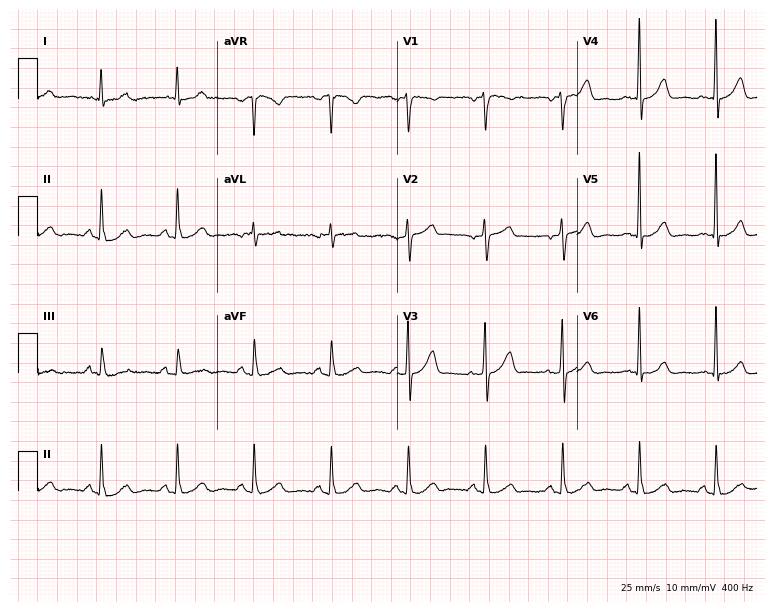
12-lead ECG from a 73-year-old man. Recorded interpretation: within normal limits.